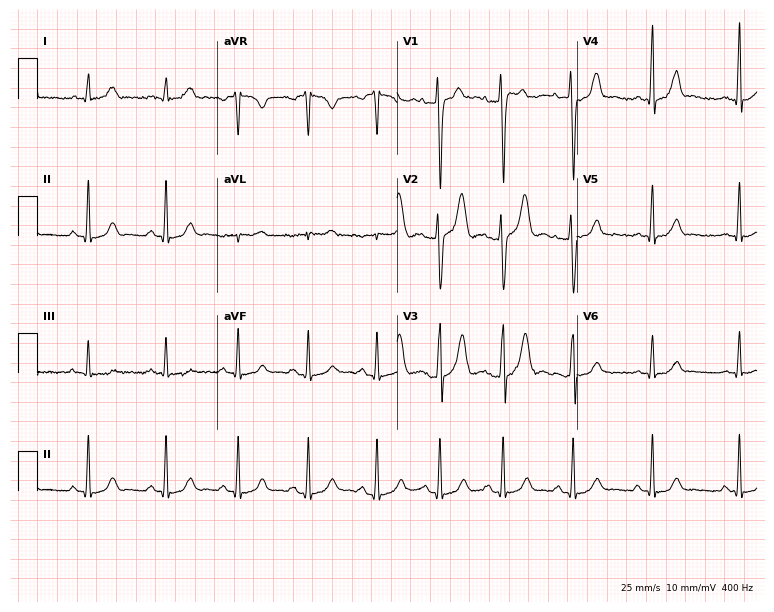
Standard 12-lead ECG recorded from a male, 43 years old. Read as a normal ECG.